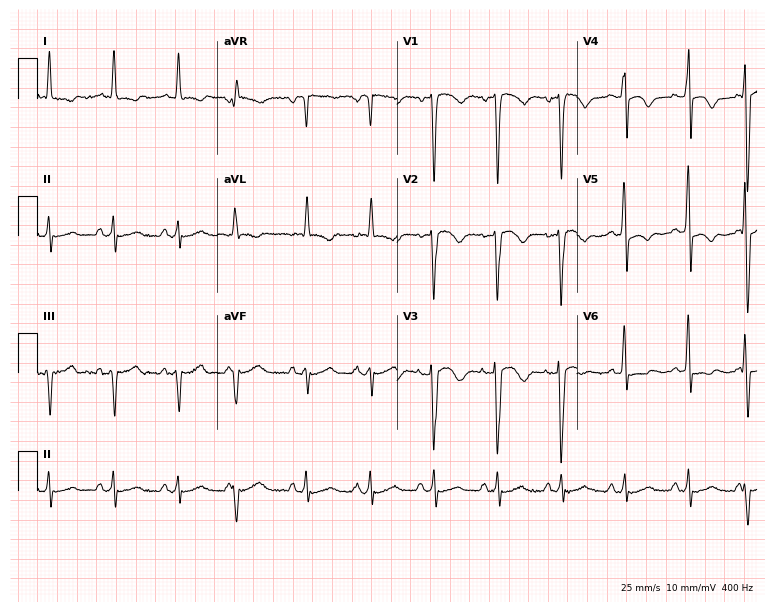
Resting 12-lead electrocardiogram (7.3-second recording at 400 Hz). Patient: an 86-year-old male. None of these six findings is recorded: first-degree AV block, right bundle branch block, left bundle branch block, sinus bradycardia, atrial fibrillation, sinus tachycardia.